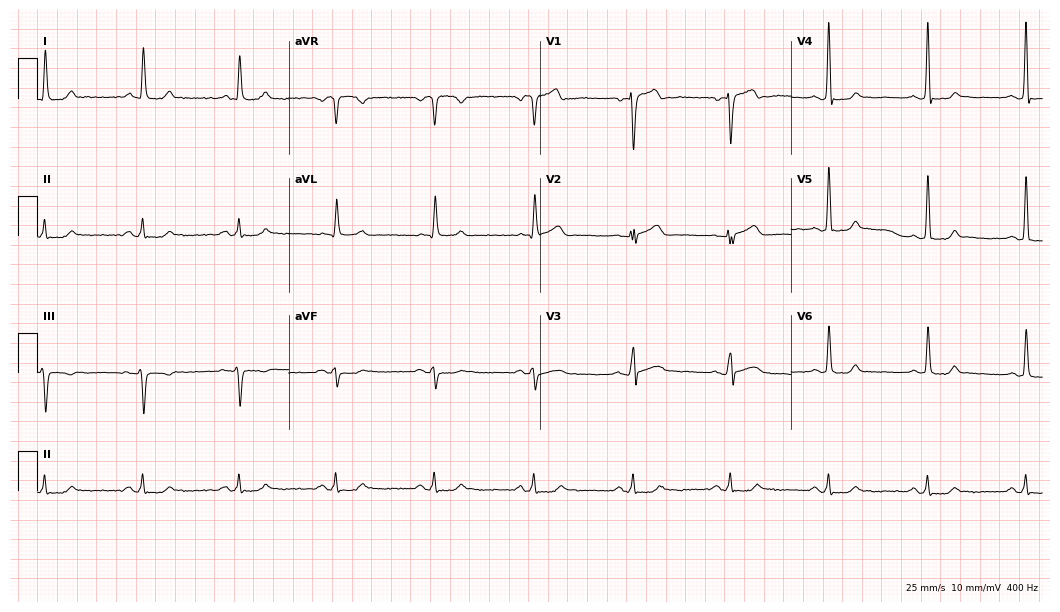
12-lead ECG from a 53-year-old male patient. Recorded interpretation: within normal limits.